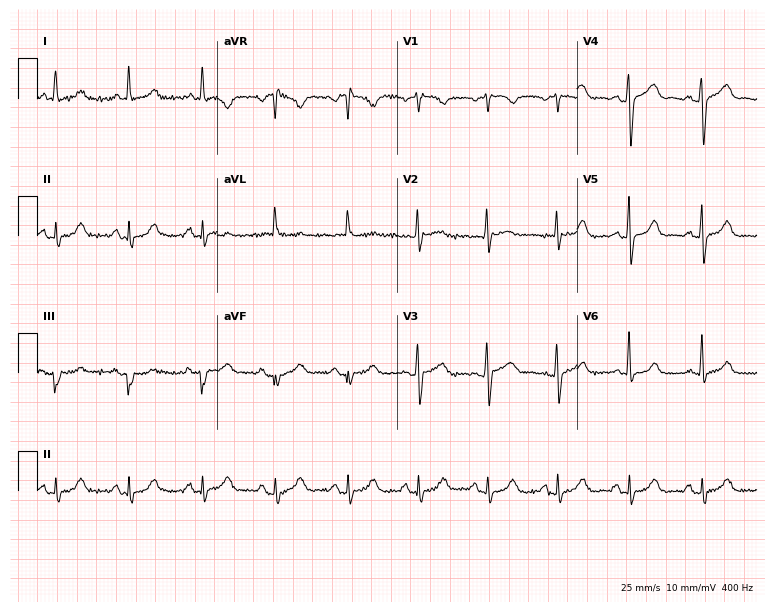
12-lead ECG (7.3-second recording at 400 Hz) from a female patient, 71 years old. Labelled as a normal ECG.